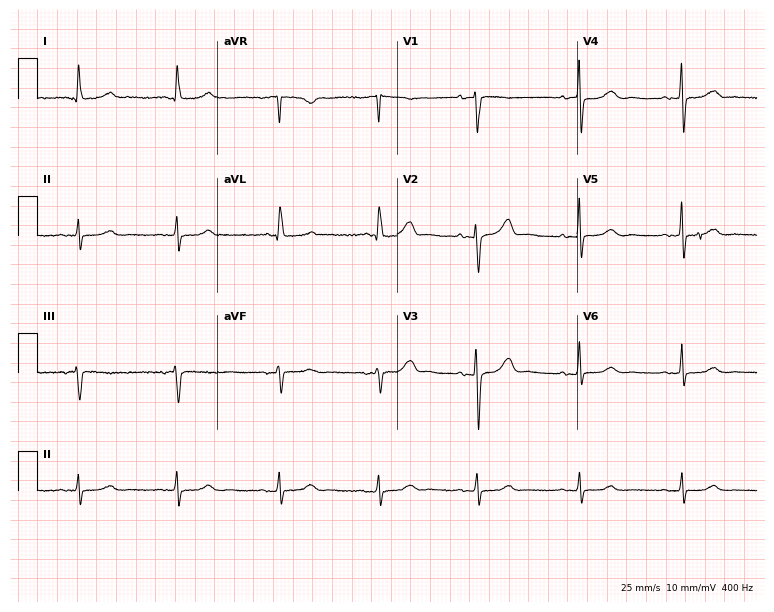
ECG (7.3-second recording at 400 Hz) — a 77-year-old woman. Screened for six findings — first-degree AV block, right bundle branch block, left bundle branch block, sinus bradycardia, atrial fibrillation, sinus tachycardia — none is recorded. Findings outside these six are not listed.